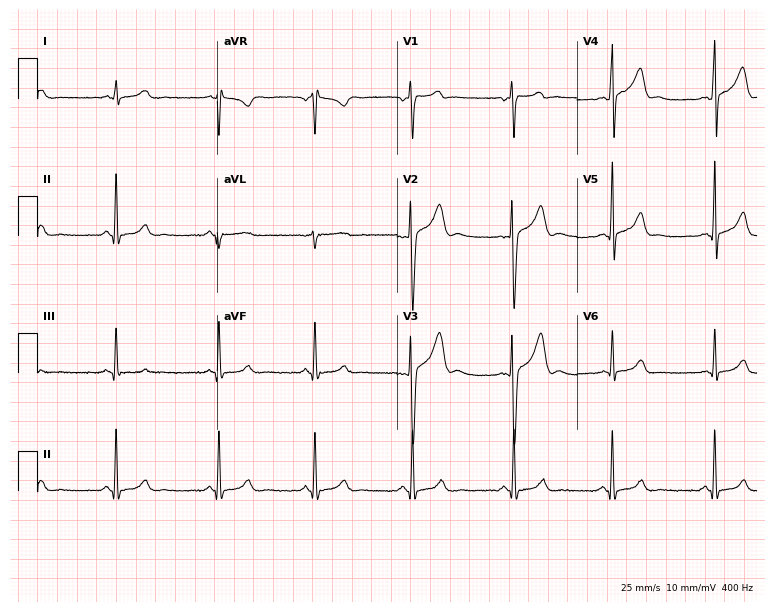
ECG (7.3-second recording at 400 Hz) — a 22-year-old male patient. Labelled as a normal ECG.